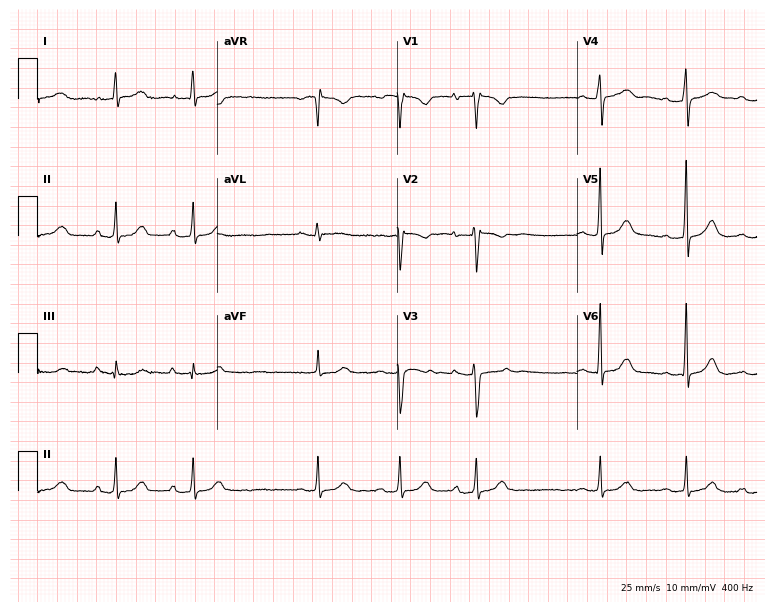
12-lead ECG from an 18-year-old female. Screened for six findings — first-degree AV block, right bundle branch block, left bundle branch block, sinus bradycardia, atrial fibrillation, sinus tachycardia — none is recorded.